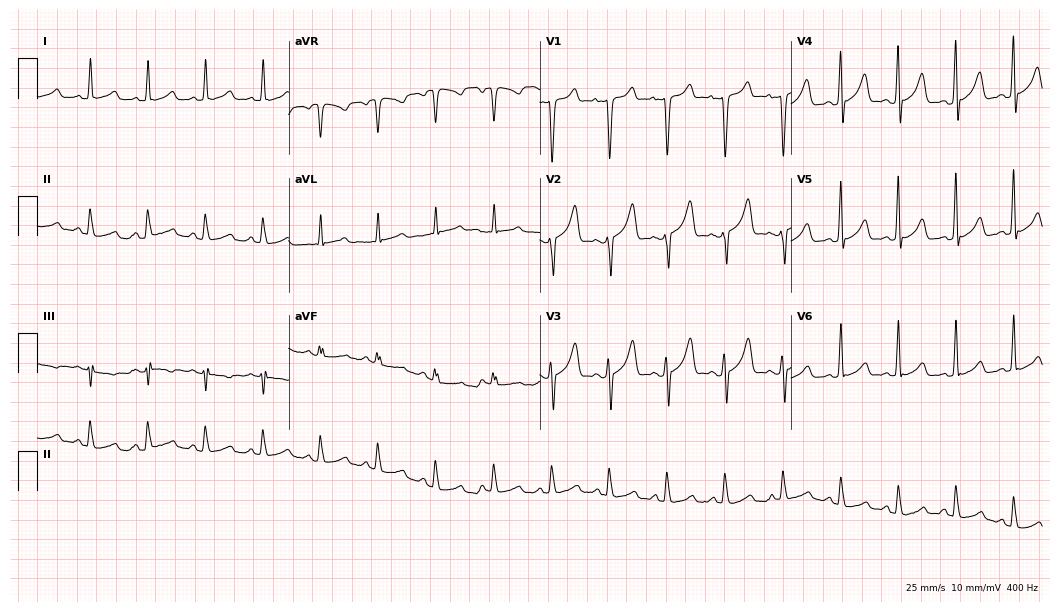
12-lead ECG (10.2-second recording at 400 Hz) from a 43-year-old female patient. Findings include sinus tachycardia (a sinus rate of 100 beats per minute or more).